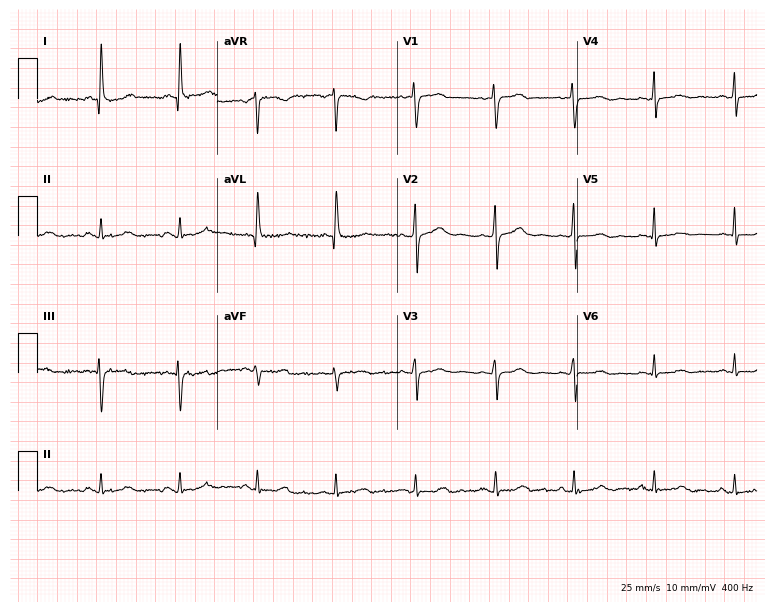
Resting 12-lead electrocardiogram. Patient: a female, 69 years old. Read as a normal ECG.